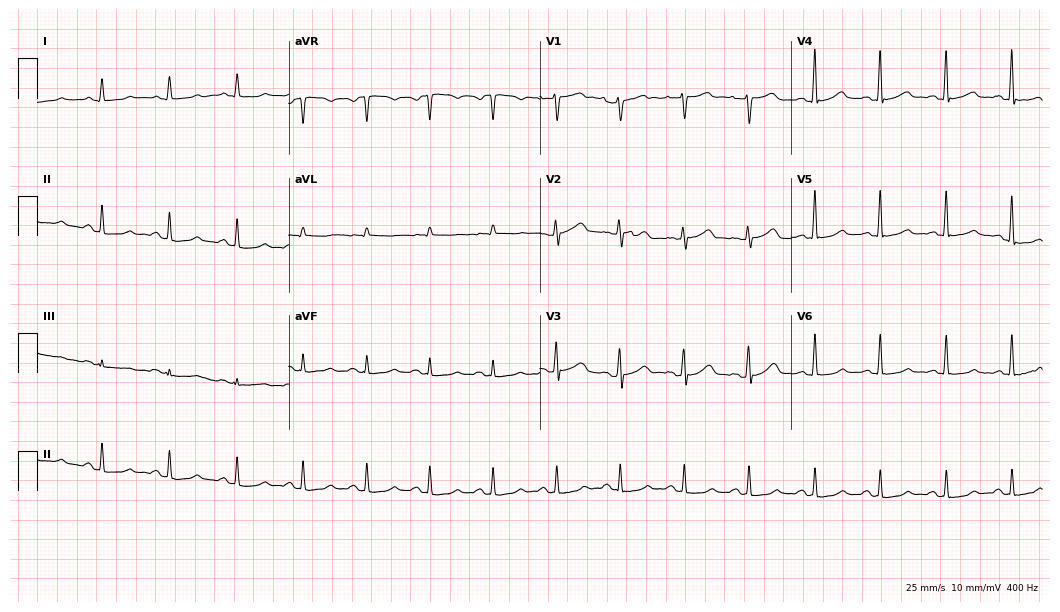
12-lead ECG from a 58-year-old woman (10.2-second recording at 400 Hz). Recorded interpretation: within normal limits.